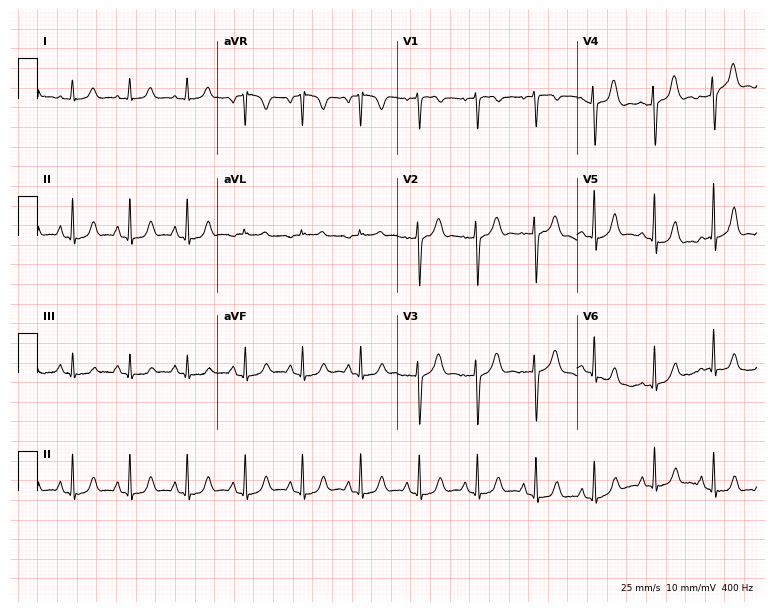
12-lead ECG from a 26-year-old female patient. Findings include sinus tachycardia (a sinus rate of 100 beats per minute or more).